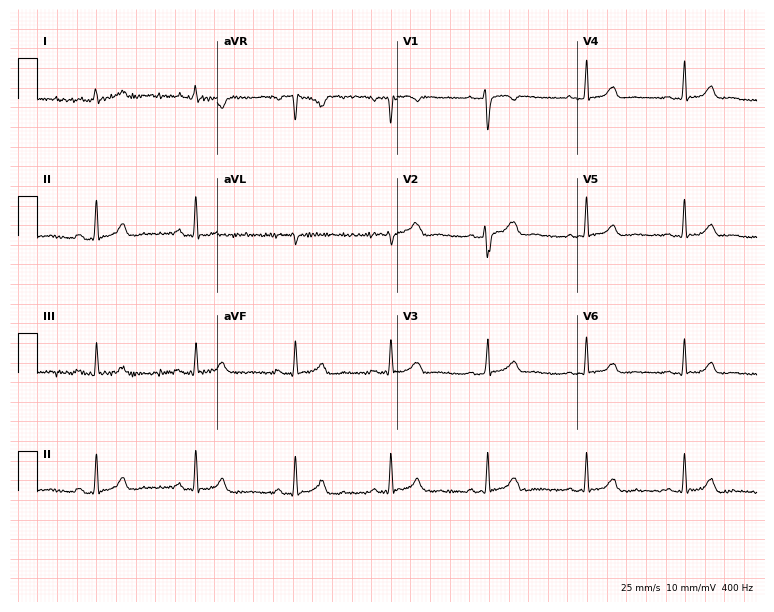
12-lead ECG (7.3-second recording at 400 Hz) from a female patient, 30 years old. Screened for six findings — first-degree AV block, right bundle branch block (RBBB), left bundle branch block (LBBB), sinus bradycardia, atrial fibrillation (AF), sinus tachycardia — none is recorded. Other findings, if any, are not listed.